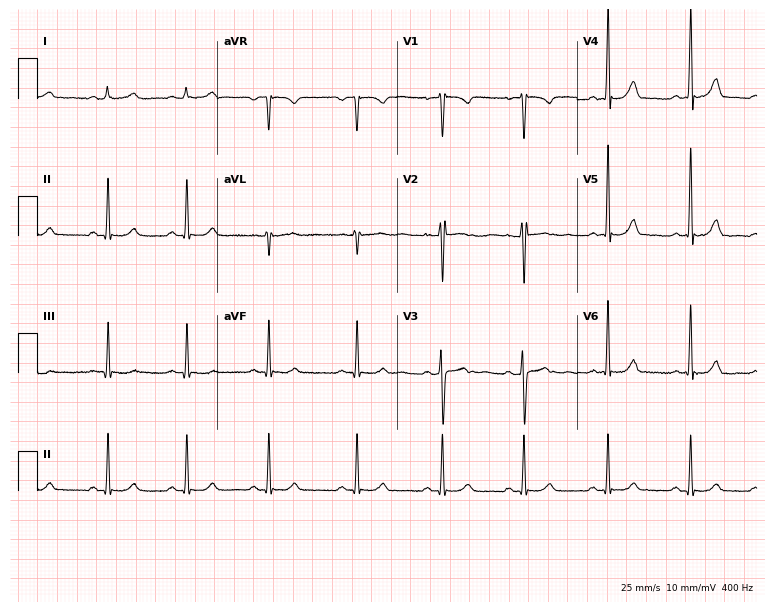
Standard 12-lead ECG recorded from a 29-year-old female (7.3-second recording at 400 Hz). None of these six findings is recorded: first-degree AV block, right bundle branch block (RBBB), left bundle branch block (LBBB), sinus bradycardia, atrial fibrillation (AF), sinus tachycardia.